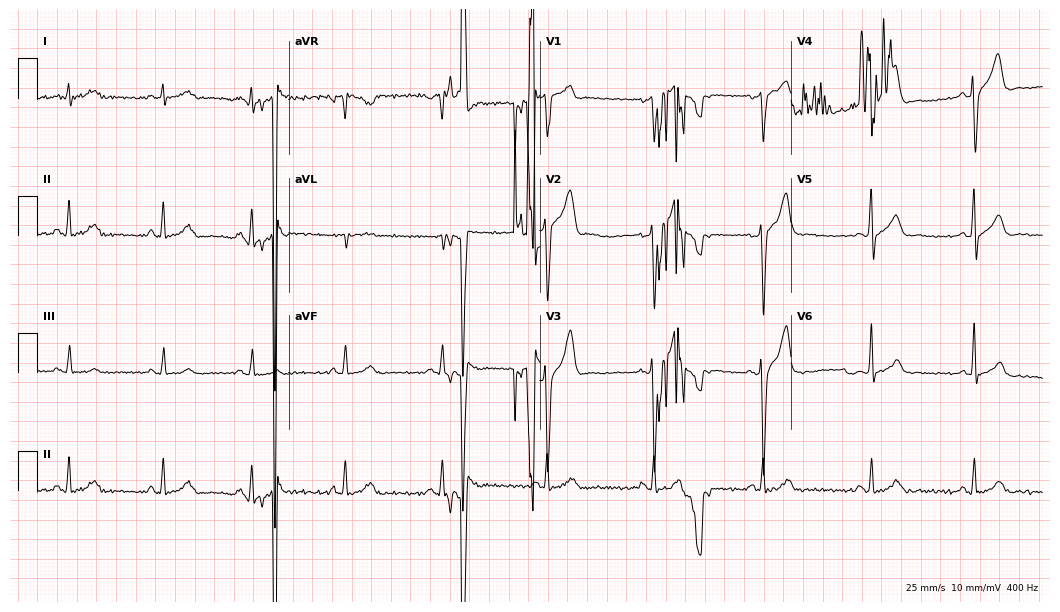
ECG — a 60-year-old male patient. Screened for six findings — first-degree AV block, right bundle branch block, left bundle branch block, sinus bradycardia, atrial fibrillation, sinus tachycardia — none is recorded.